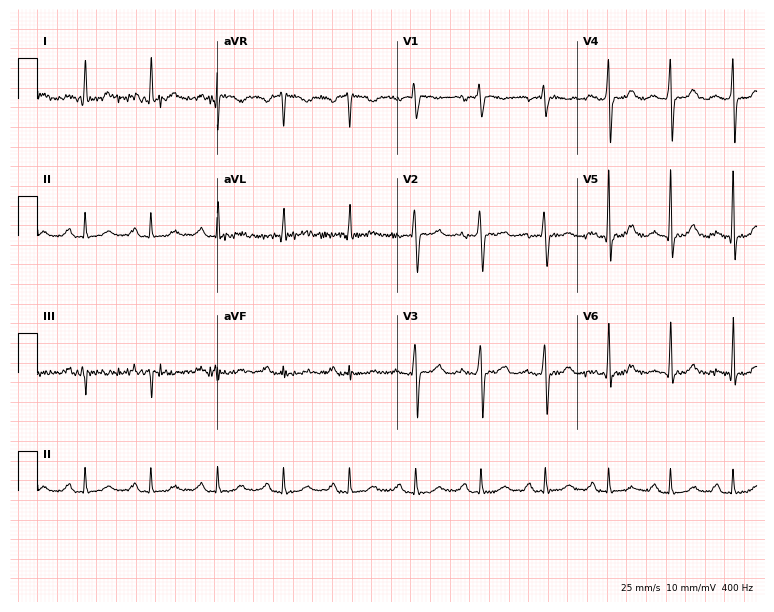
12-lead ECG from a woman, 59 years old. Screened for six findings — first-degree AV block, right bundle branch block, left bundle branch block, sinus bradycardia, atrial fibrillation, sinus tachycardia — none is recorded. Only these six findings were labelled.